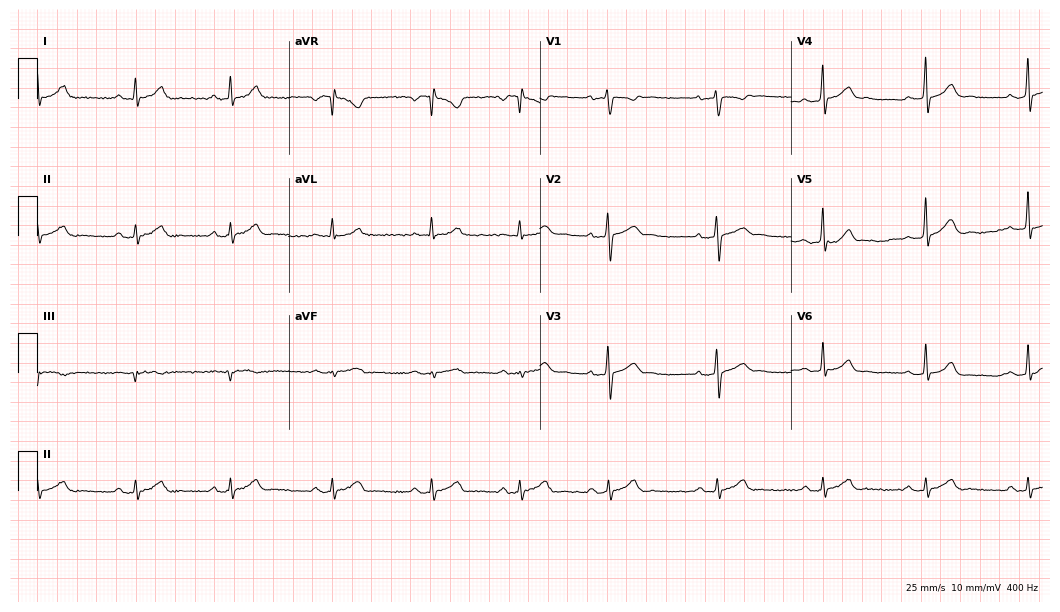
12-lead ECG (10.2-second recording at 400 Hz) from a 32-year-old male patient. Screened for six findings — first-degree AV block, right bundle branch block (RBBB), left bundle branch block (LBBB), sinus bradycardia, atrial fibrillation (AF), sinus tachycardia — none is recorded. Other findings, if any, are not listed.